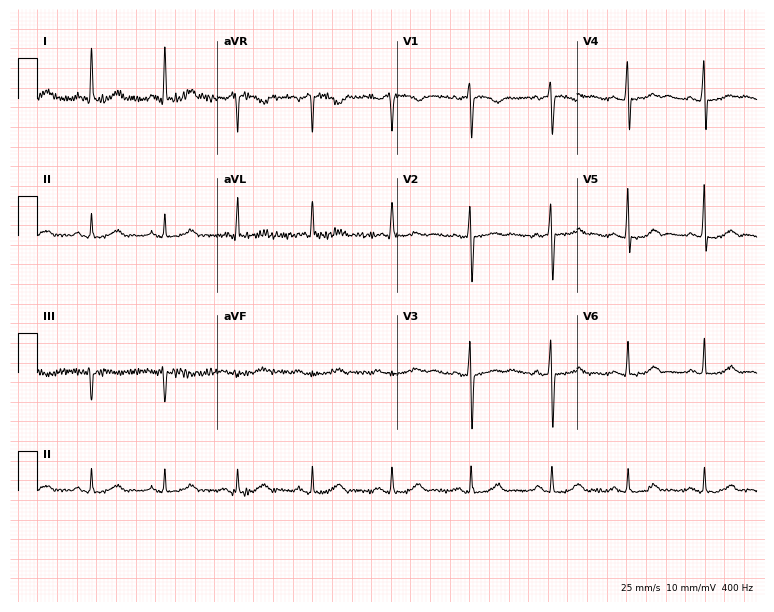
Resting 12-lead electrocardiogram. Patient: a 70-year-old woman. Read as a normal ECG.